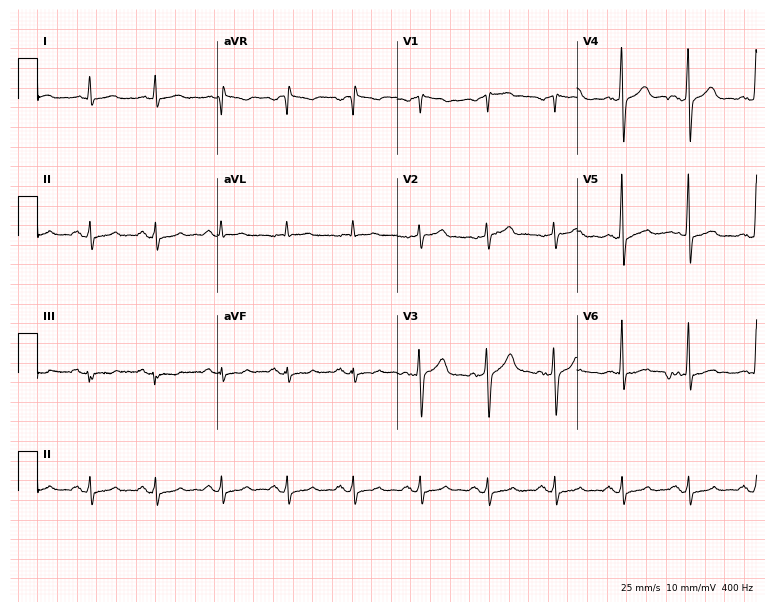
12-lead ECG from a 61-year-old man (7.3-second recording at 400 Hz). No first-degree AV block, right bundle branch block (RBBB), left bundle branch block (LBBB), sinus bradycardia, atrial fibrillation (AF) or sinus tachycardia recorded for this tracing.